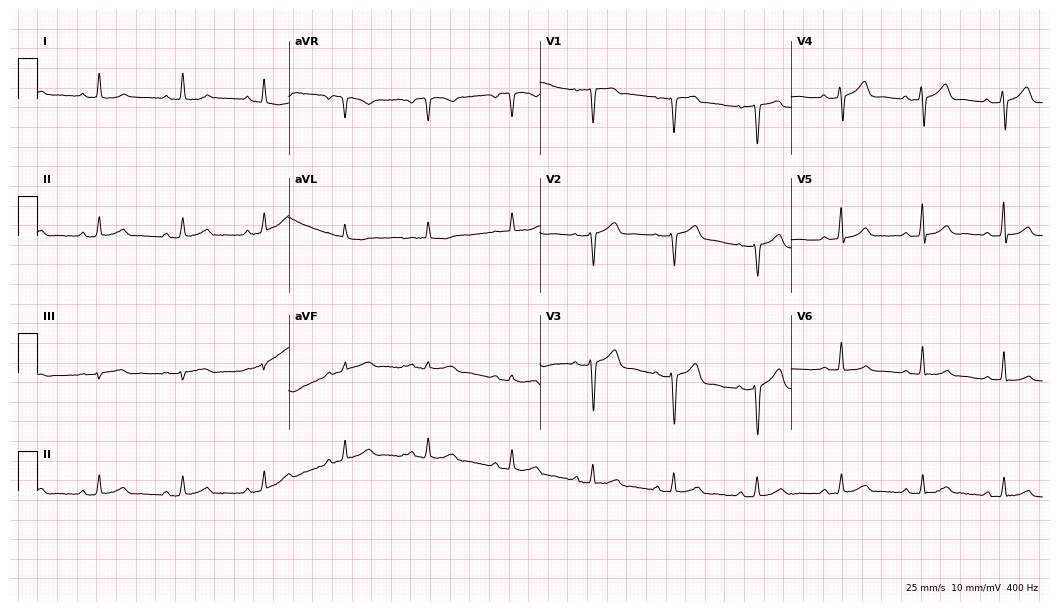
12-lead ECG from a woman, 51 years old. Recorded interpretation: within normal limits.